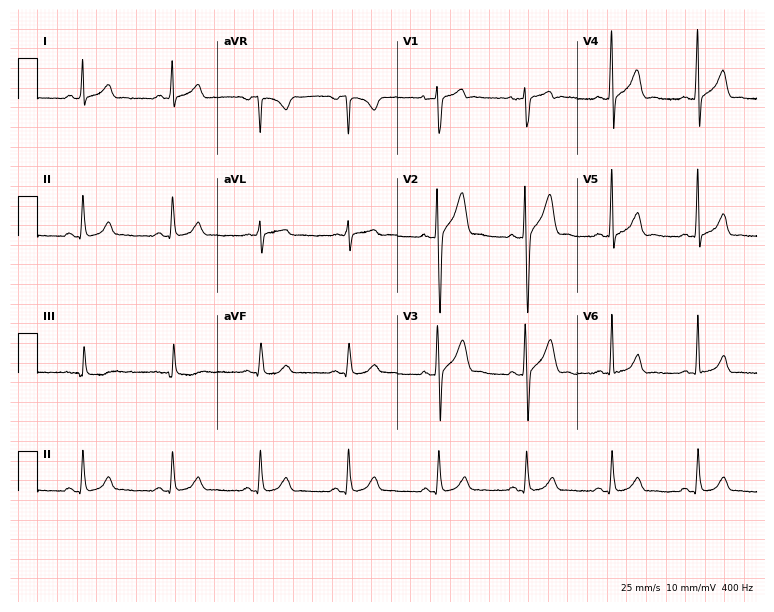
12-lead ECG from a male, 44 years old. Recorded interpretation: within normal limits.